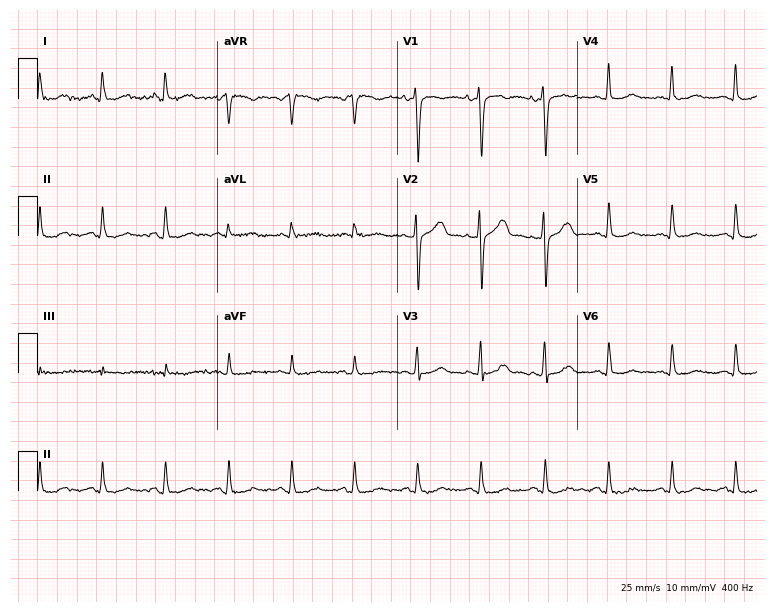
Standard 12-lead ECG recorded from a male, 49 years old. Read as a normal ECG.